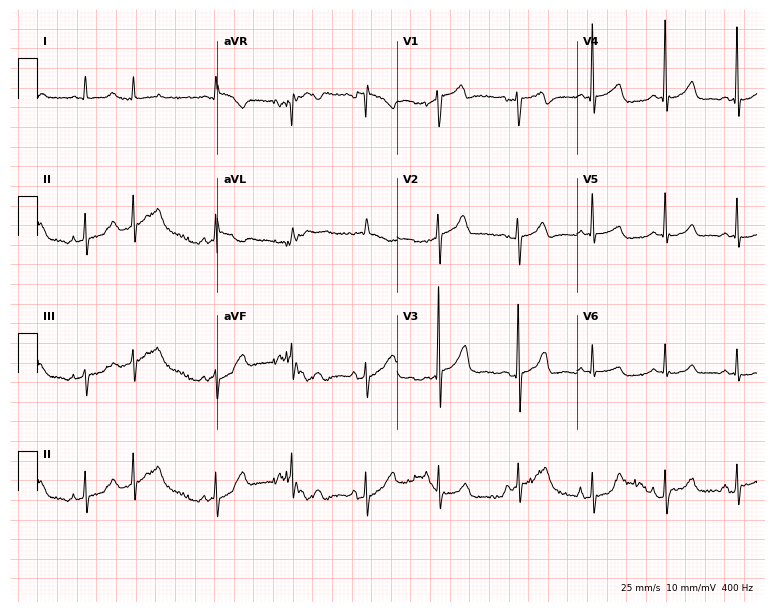
12-lead ECG (7.3-second recording at 400 Hz) from a 77-year-old woman. Screened for six findings — first-degree AV block, right bundle branch block, left bundle branch block, sinus bradycardia, atrial fibrillation, sinus tachycardia — none is recorded. Only these six findings were labelled.